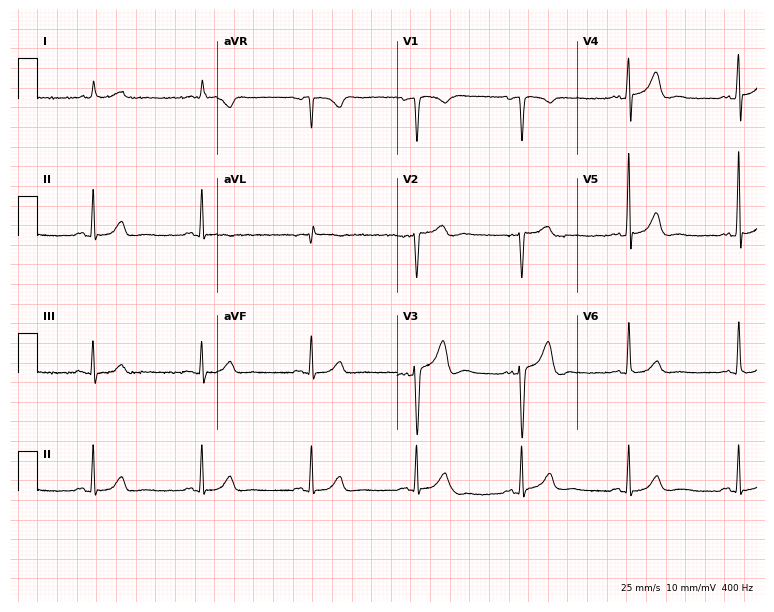
Electrocardiogram, a 74-year-old male patient. Of the six screened findings (first-degree AV block, right bundle branch block, left bundle branch block, sinus bradycardia, atrial fibrillation, sinus tachycardia), none is recorded.